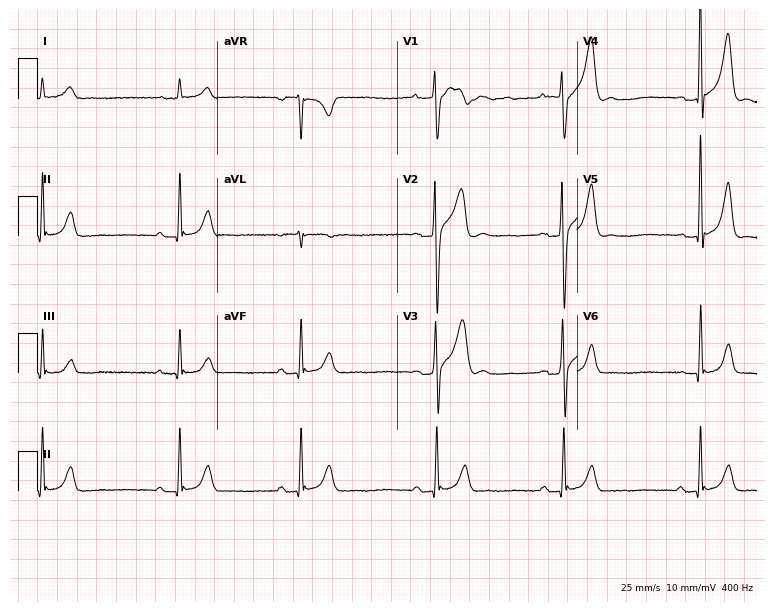
12-lead ECG from a 26-year-old male patient. Findings include sinus bradycardia (a sinus rate of 50 beats per minute or less).